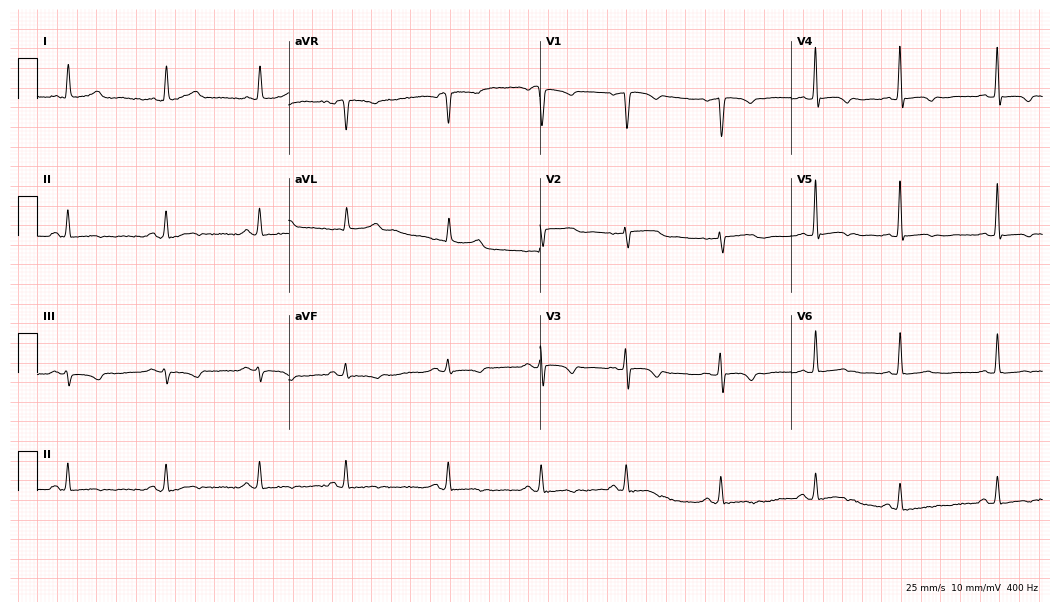
12-lead ECG (10.2-second recording at 400 Hz) from a 67-year-old female patient. Screened for six findings — first-degree AV block, right bundle branch block (RBBB), left bundle branch block (LBBB), sinus bradycardia, atrial fibrillation (AF), sinus tachycardia — none is recorded.